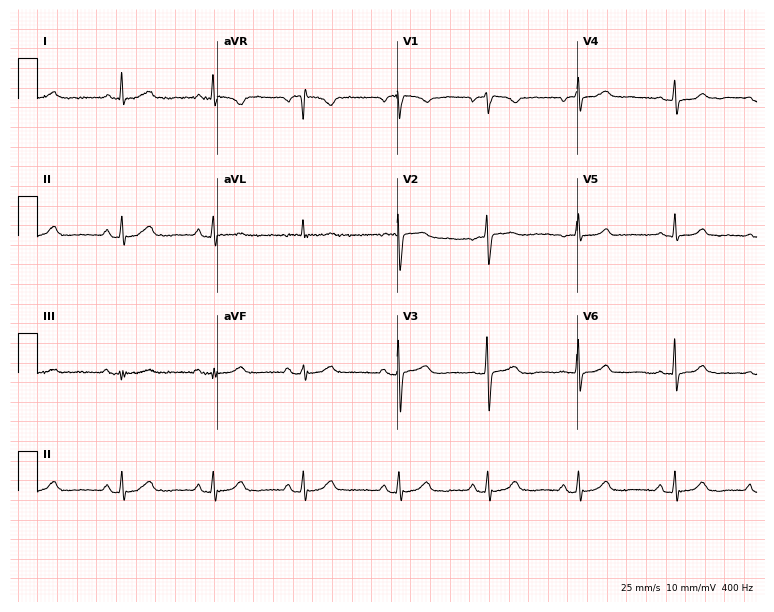
Electrocardiogram (7.3-second recording at 400 Hz), a woman, 52 years old. Overall reading on record: normal ECG.